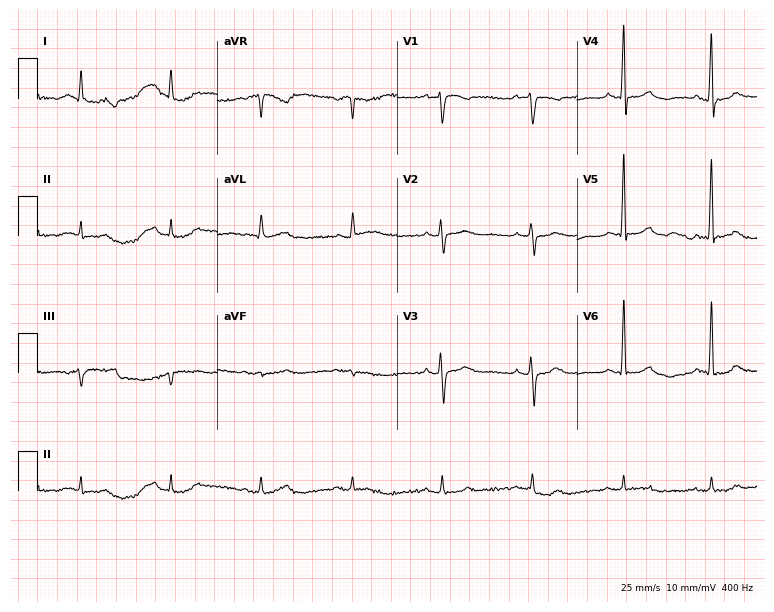
Electrocardiogram, a male, 75 years old. Overall reading on record: normal ECG.